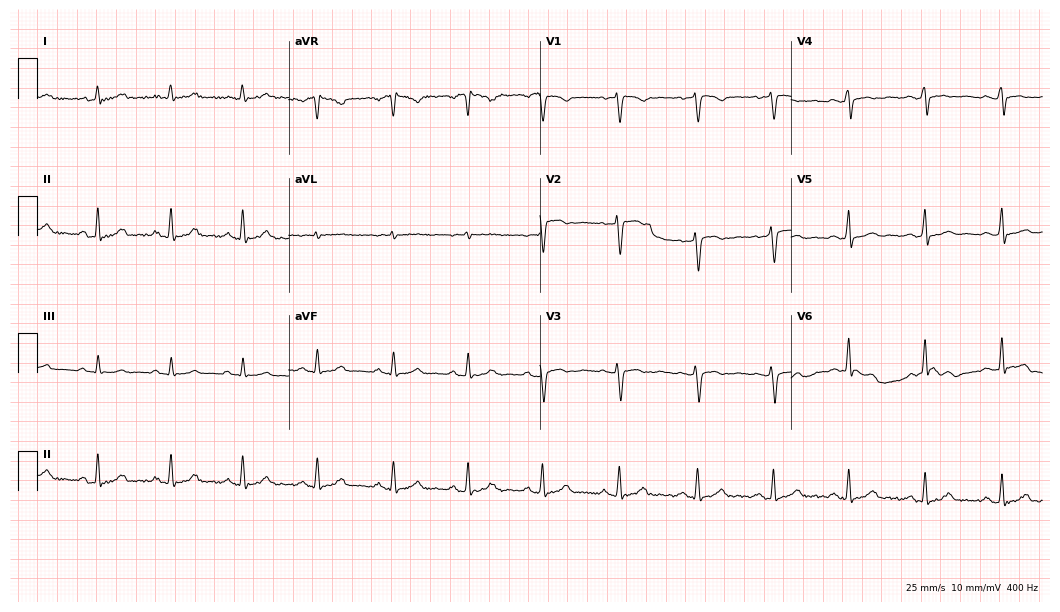
12-lead ECG (10.2-second recording at 400 Hz) from a female patient, 43 years old. Labelled as a normal ECG.